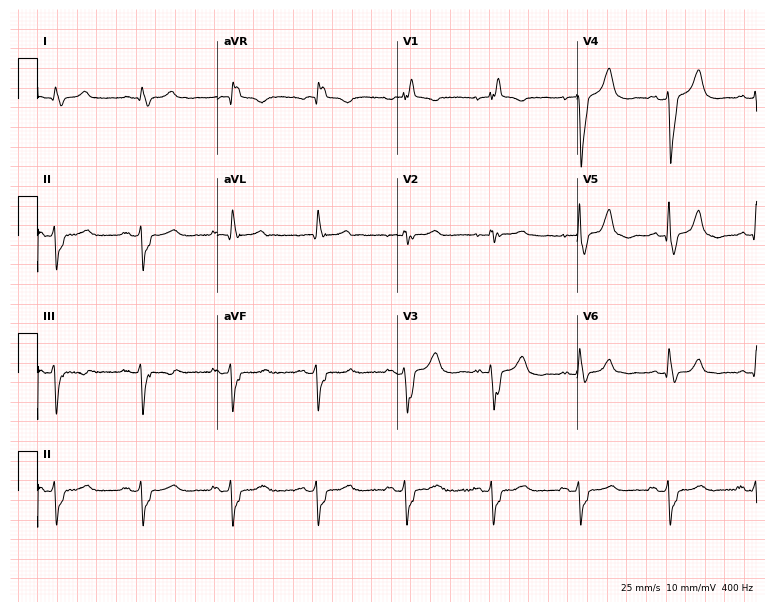
ECG (7.3-second recording at 400 Hz) — a 76-year-old male patient. Screened for six findings — first-degree AV block, right bundle branch block (RBBB), left bundle branch block (LBBB), sinus bradycardia, atrial fibrillation (AF), sinus tachycardia — none is recorded. Other findings, if any, are not listed.